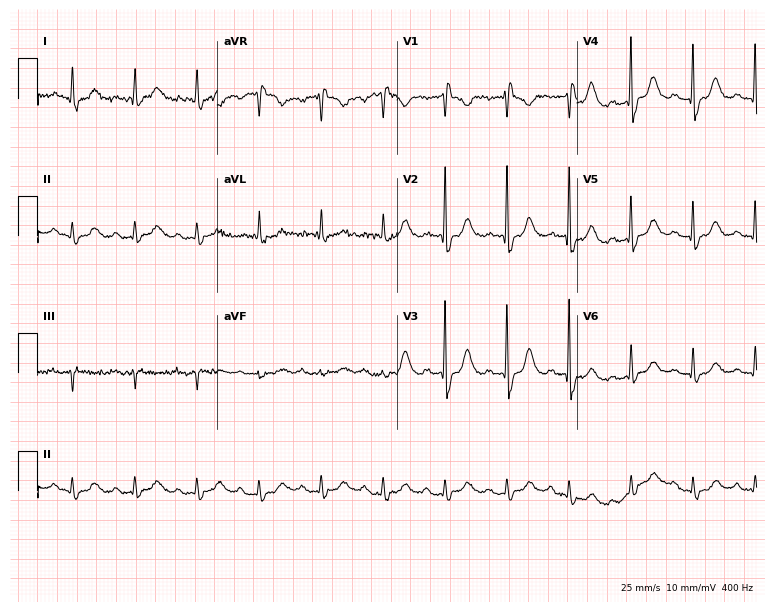
Standard 12-lead ECG recorded from a woman, 83 years old. The tracing shows first-degree AV block, right bundle branch block.